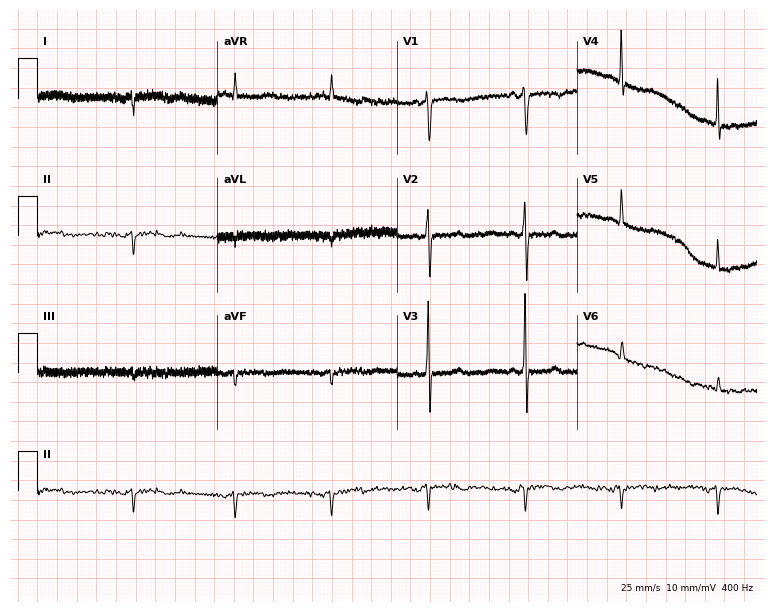
Resting 12-lead electrocardiogram (7.3-second recording at 400 Hz). Patient: a 68-year-old female. None of these six findings is recorded: first-degree AV block, right bundle branch block (RBBB), left bundle branch block (LBBB), sinus bradycardia, atrial fibrillation (AF), sinus tachycardia.